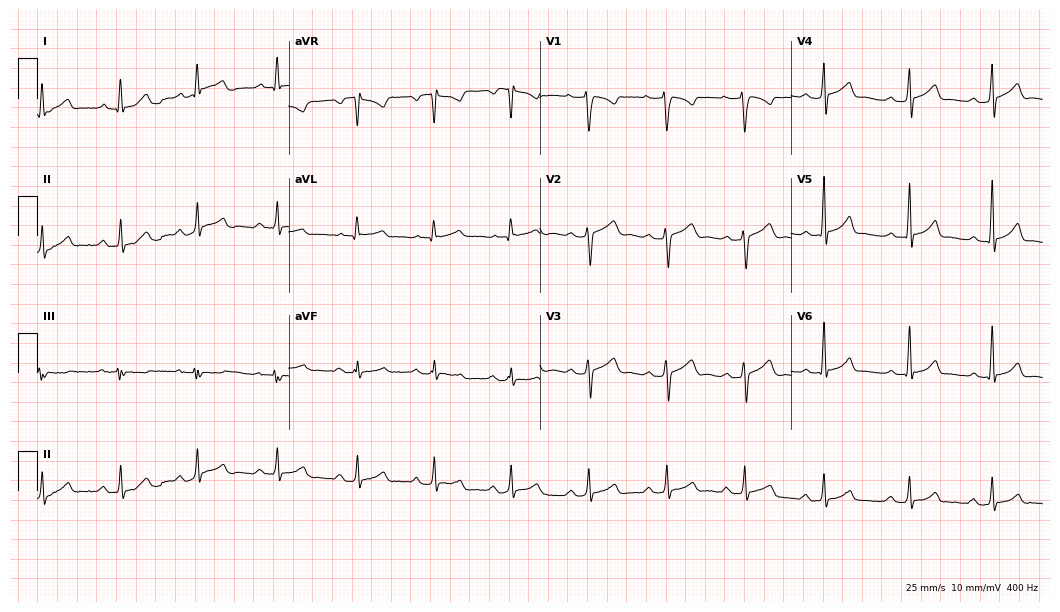
Resting 12-lead electrocardiogram. Patient: a woman, 26 years old. Read as a normal ECG.